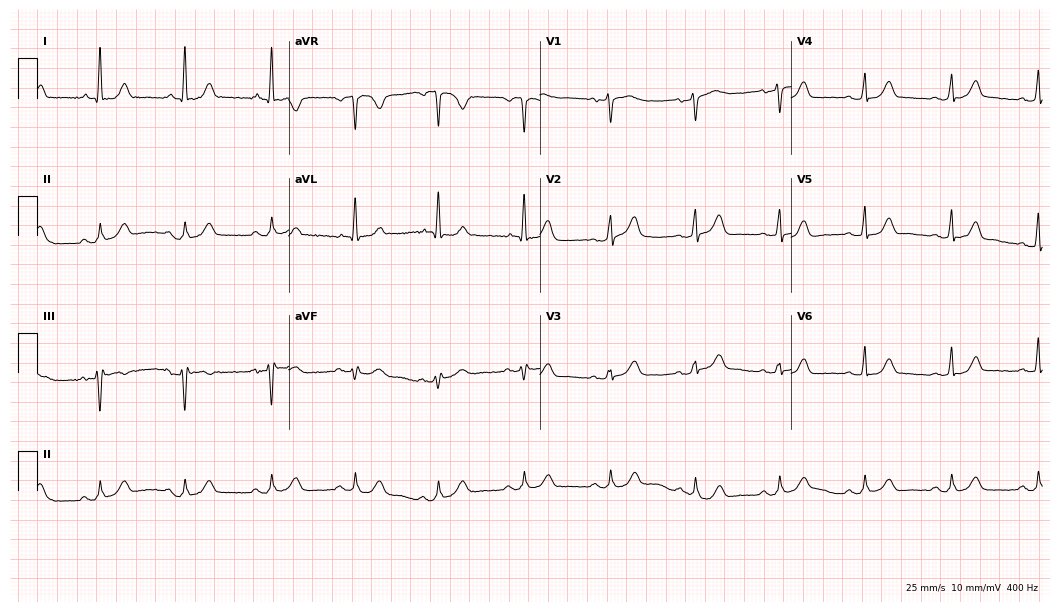
Electrocardiogram (10.2-second recording at 400 Hz), a 68-year-old female. Overall reading on record: normal ECG.